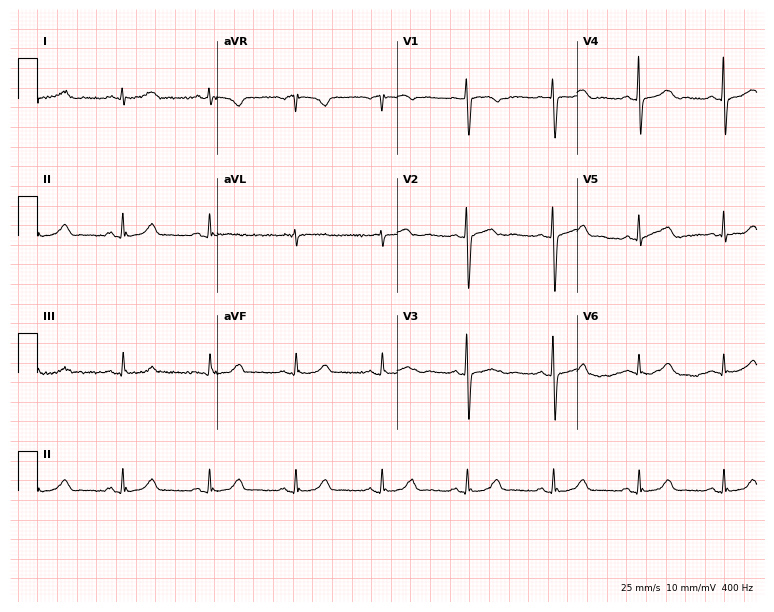
12-lead ECG (7.3-second recording at 400 Hz) from a 74-year-old female. Screened for six findings — first-degree AV block, right bundle branch block (RBBB), left bundle branch block (LBBB), sinus bradycardia, atrial fibrillation (AF), sinus tachycardia — none is recorded.